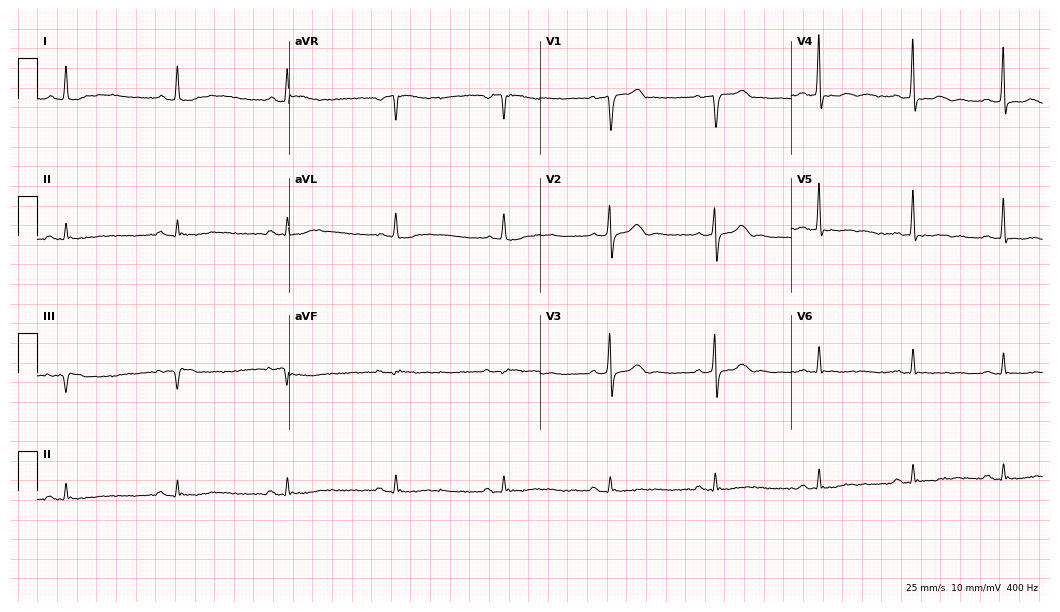
12-lead ECG from a male, 80 years old. No first-degree AV block, right bundle branch block (RBBB), left bundle branch block (LBBB), sinus bradycardia, atrial fibrillation (AF) or sinus tachycardia recorded for this tracing. Other findings, if any, are not listed.